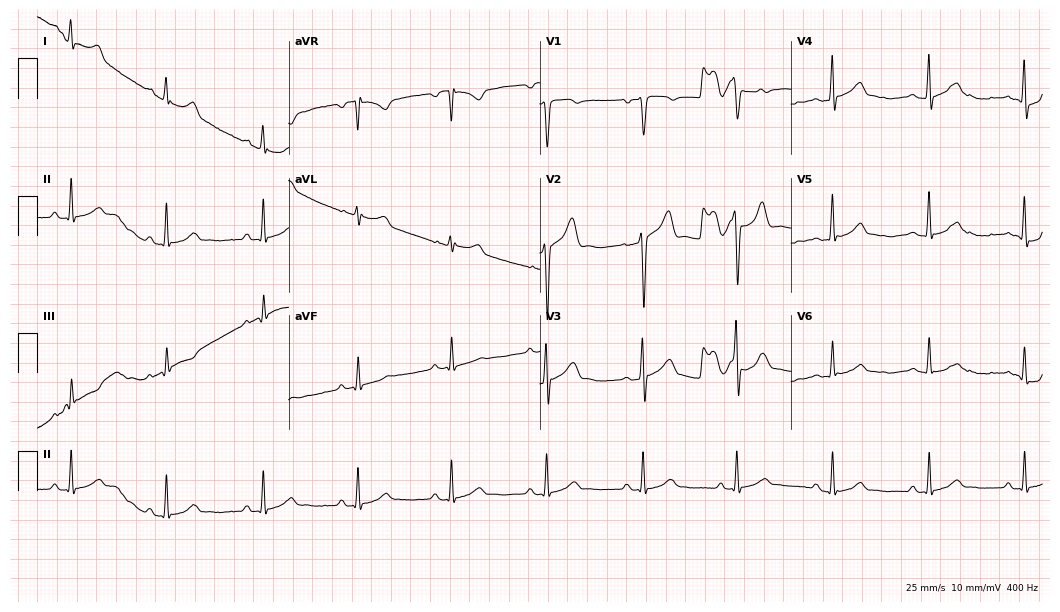
Resting 12-lead electrocardiogram (10.2-second recording at 400 Hz). Patient: a male, 58 years old. Read as a normal ECG.